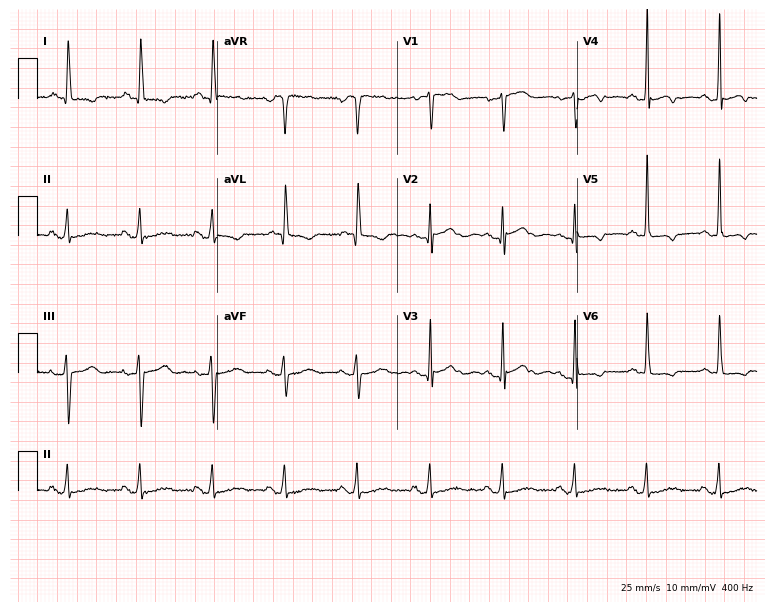
Resting 12-lead electrocardiogram (7.3-second recording at 400 Hz). Patient: a 69-year-old female. None of these six findings is recorded: first-degree AV block, right bundle branch block, left bundle branch block, sinus bradycardia, atrial fibrillation, sinus tachycardia. Other findings, if any, are not listed.